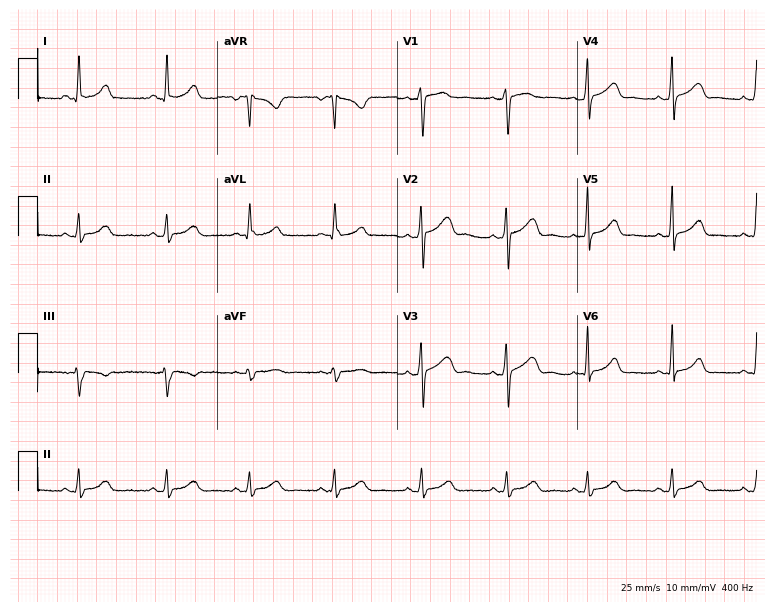
12-lead ECG from a woman, 27 years old (7.3-second recording at 400 Hz). Recorded interpretation: within normal limits.